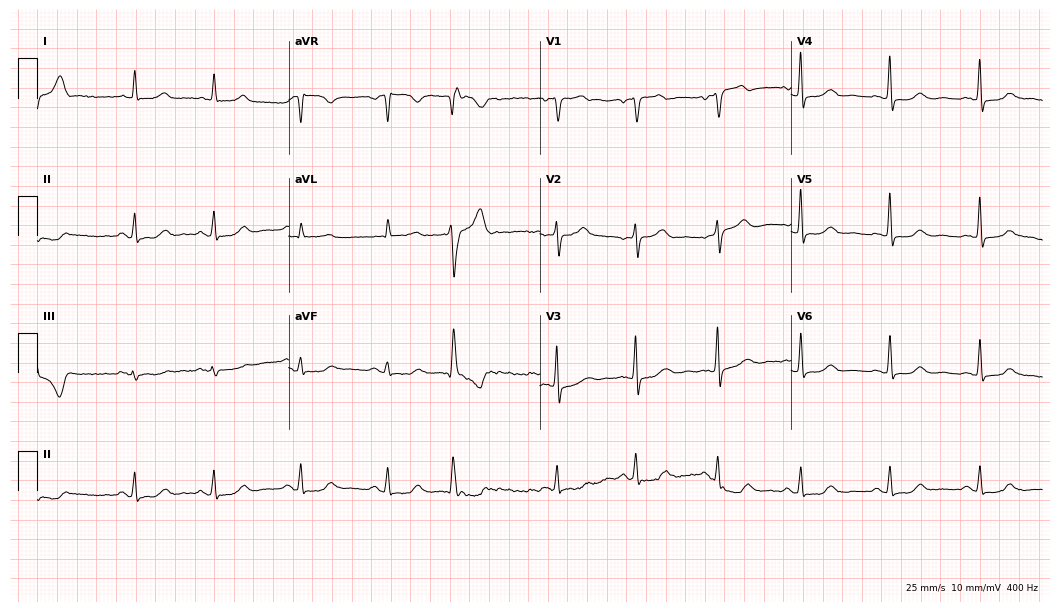
Electrocardiogram, a 51-year-old female patient. Of the six screened findings (first-degree AV block, right bundle branch block (RBBB), left bundle branch block (LBBB), sinus bradycardia, atrial fibrillation (AF), sinus tachycardia), none is recorded. Only these six findings were labelled.